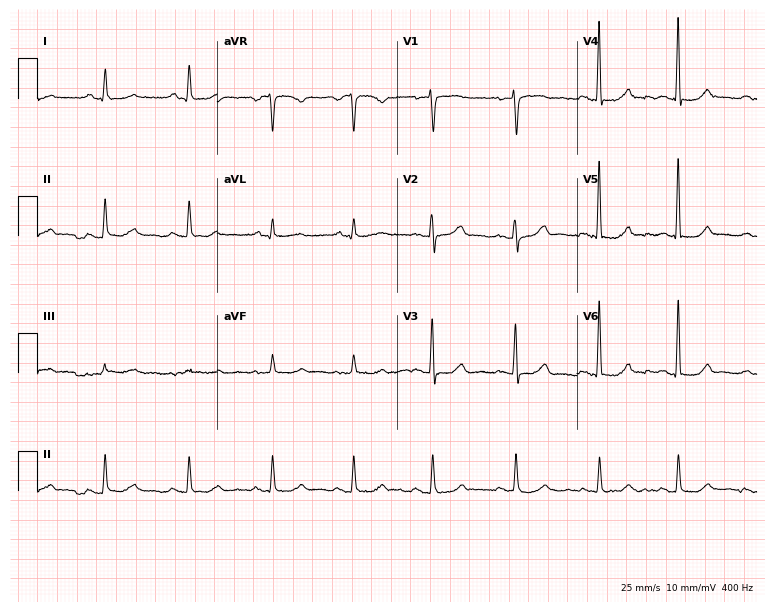
Resting 12-lead electrocardiogram. Patient: a 57-year-old woman. Read as a normal ECG.